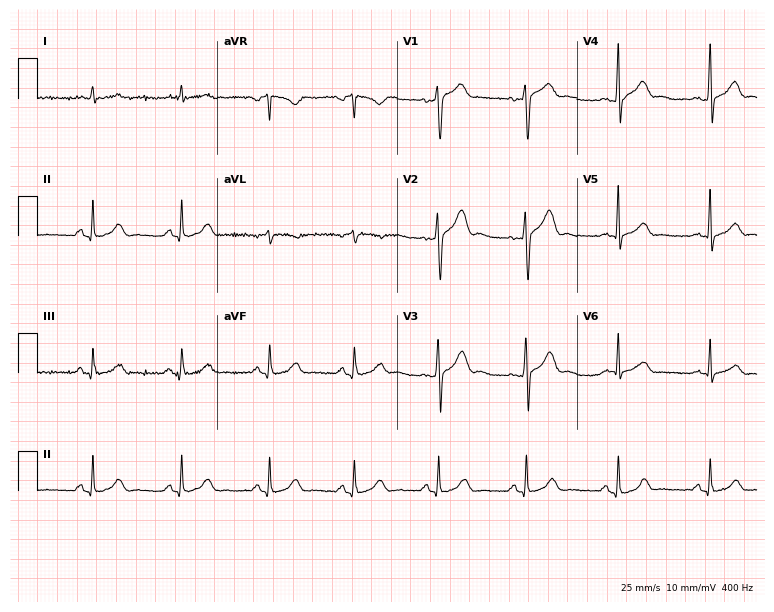
Standard 12-lead ECG recorded from a 44-year-old male patient (7.3-second recording at 400 Hz). None of these six findings is recorded: first-degree AV block, right bundle branch block (RBBB), left bundle branch block (LBBB), sinus bradycardia, atrial fibrillation (AF), sinus tachycardia.